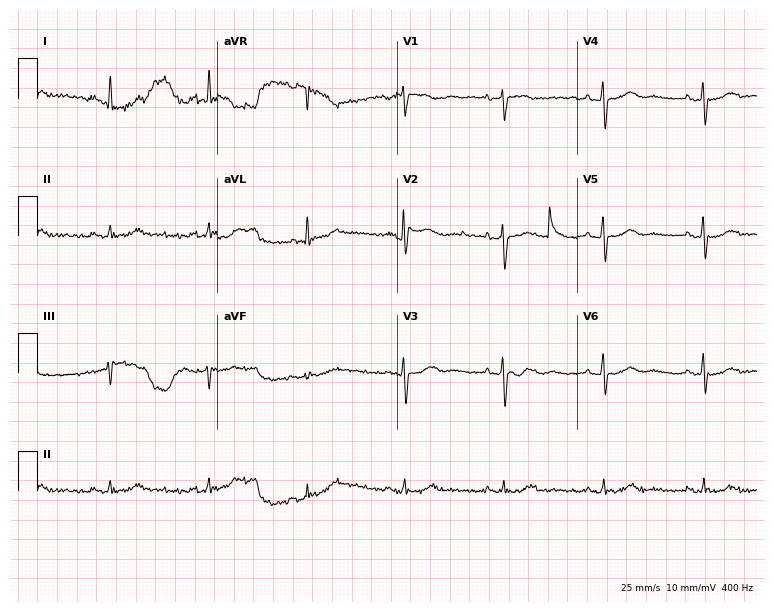
12-lead ECG from a woman, 67 years old. Recorded interpretation: within normal limits.